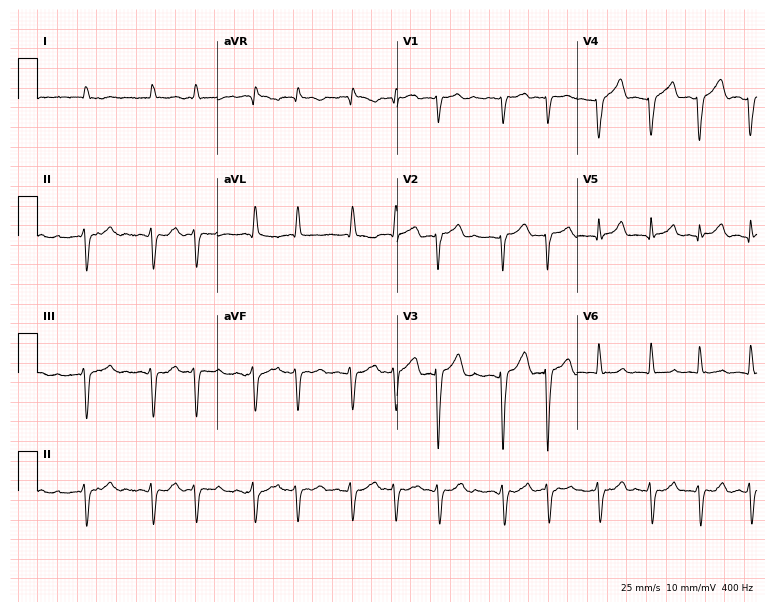
ECG — a 74-year-old man. Findings include atrial fibrillation.